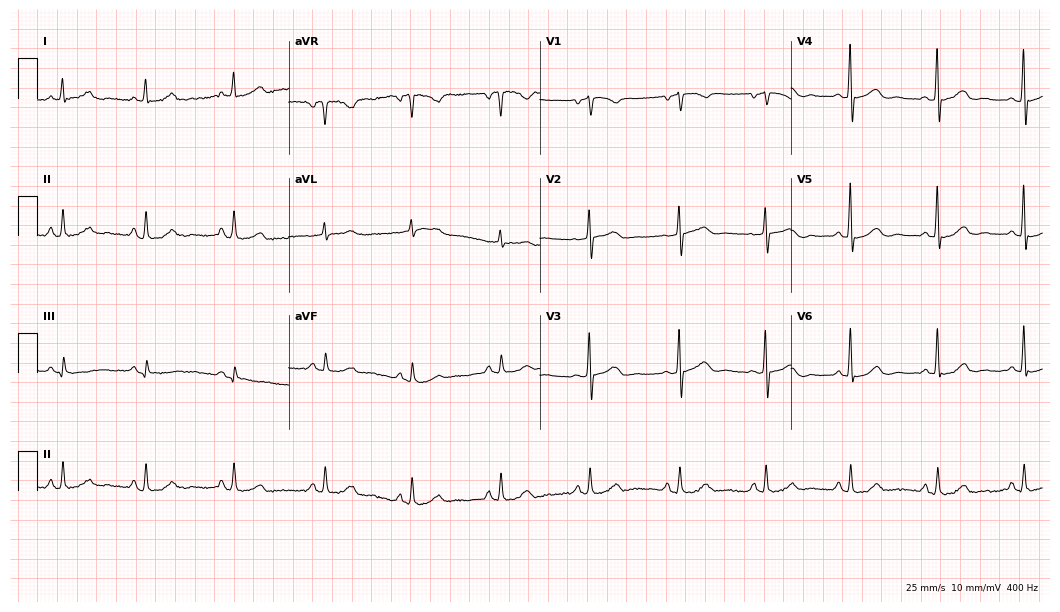
Standard 12-lead ECG recorded from a woman, 61 years old. Read as a normal ECG.